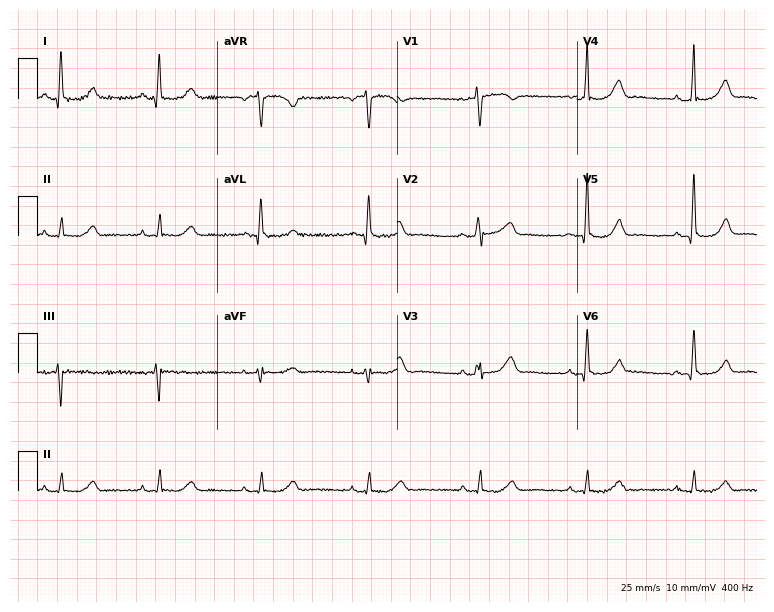
12-lead ECG (7.3-second recording at 400 Hz) from a 63-year-old female patient. Labelled as a normal ECG.